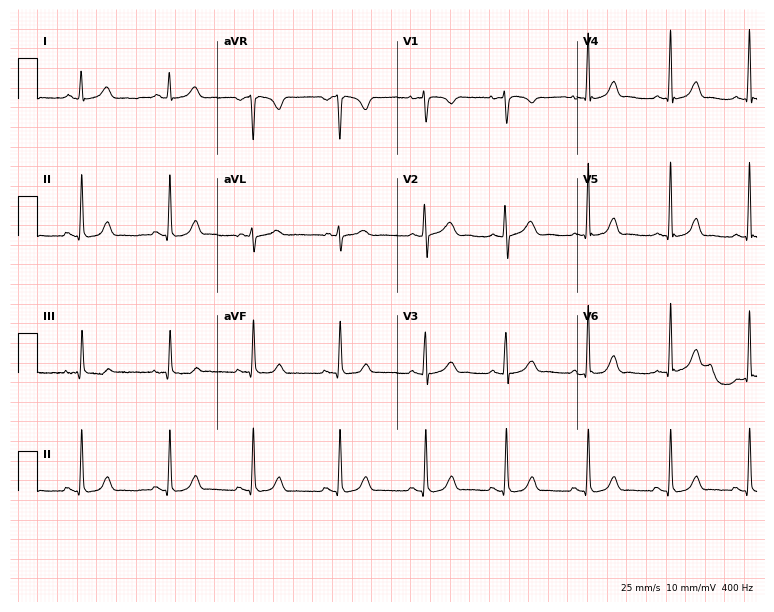
12-lead ECG from a 32-year-old female. Recorded interpretation: within normal limits.